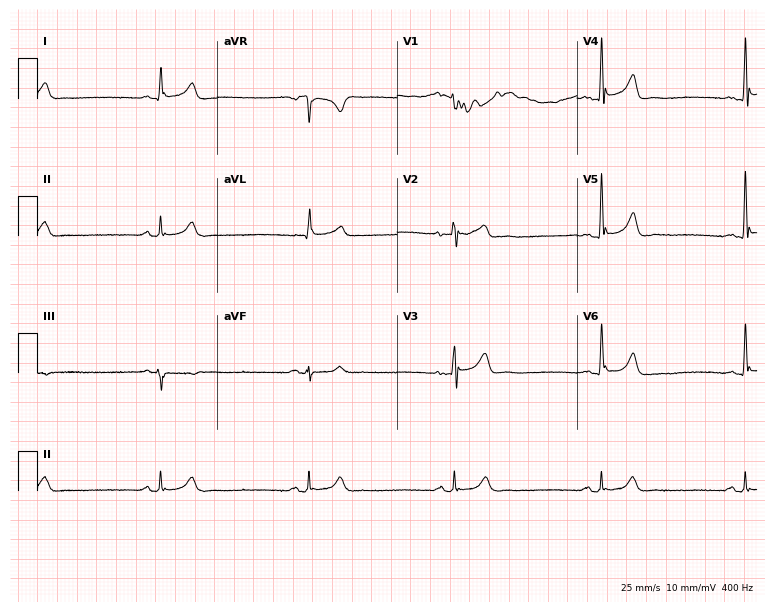
Standard 12-lead ECG recorded from a 73-year-old male patient. The tracing shows sinus bradycardia (a sinus rate of 50 beats per minute or less).